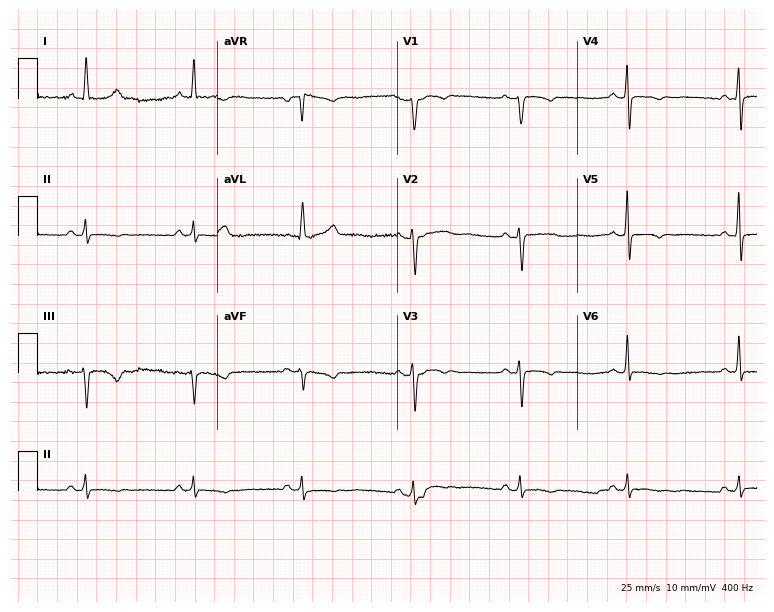
Resting 12-lead electrocardiogram. Patient: a 53-year-old woman. None of these six findings is recorded: first-degree AV block, right bundle branch block, left bundle branch block, sinus bradycardia, atrial fibrillation, sinus tachycardia.